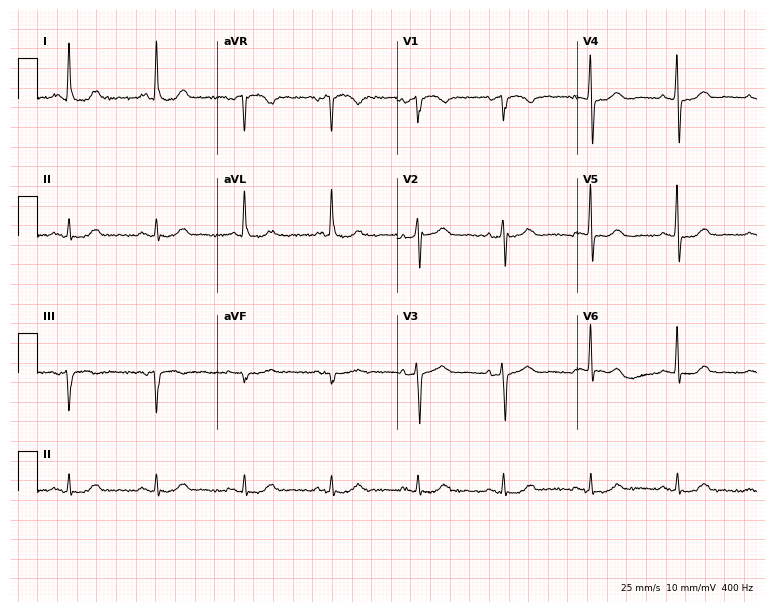
12-lead ECG from a 76-year-old woman. Screened for six findings — first-degree AV block, right bundle branch block, left bundle branch block, sinus bradycardia, atrial fibrillation, sinus tachycardia — none is recorded. Findings outside these six are not listed.